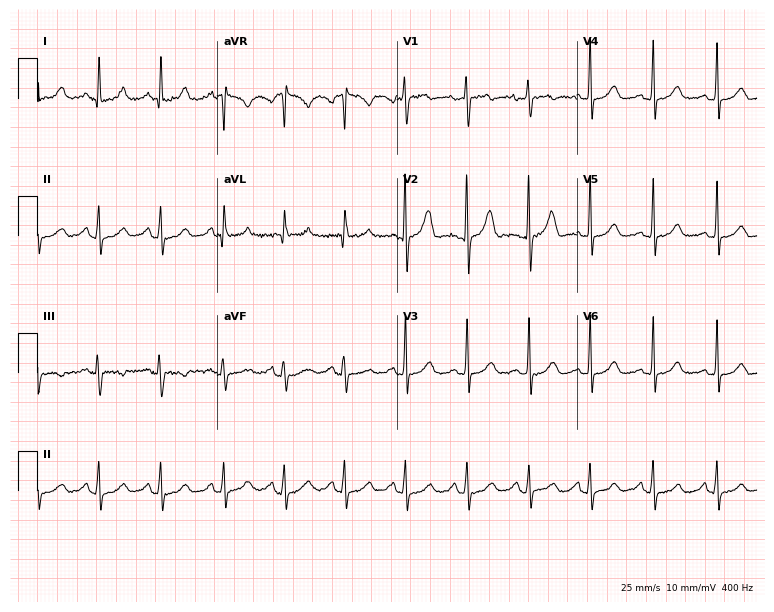
12-lead ECG from a female patient, 34 years old. Labelled as a normal ECG.